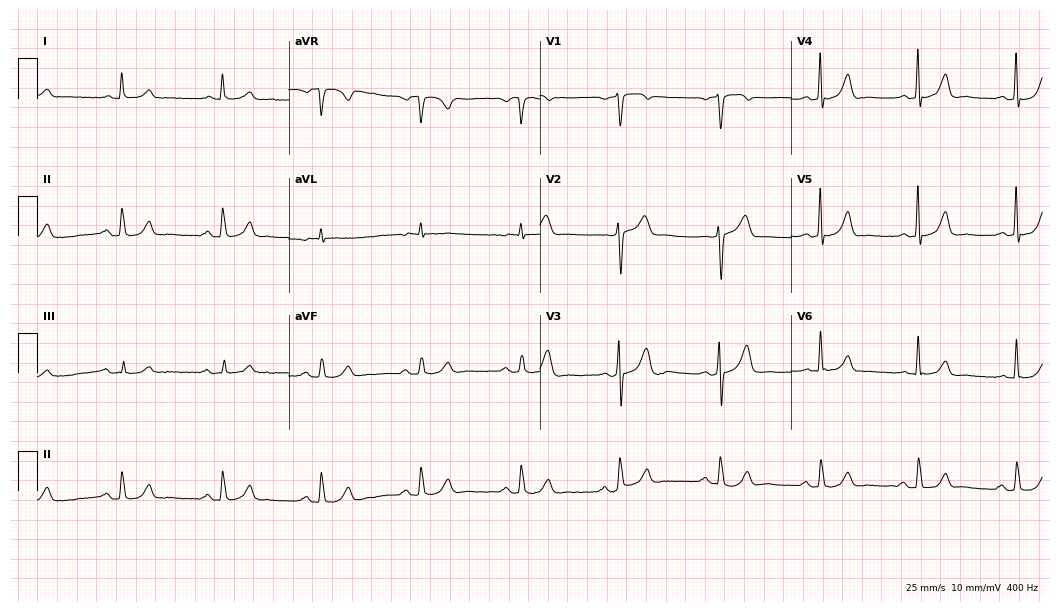
Electrocardiogram (10.2-second recording at 400 Hz), a male patient, 70 years old. Overall reading on record: normal ECG.